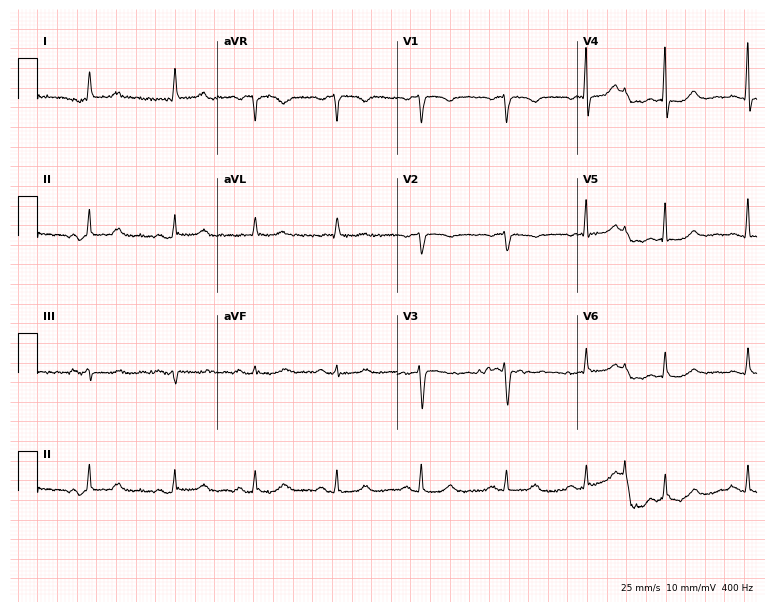
Resting 12-lead electrocardiogram (7.3-second recording at 400 Hz). Patient: an 82-year-old female. Read as a normal ECG.